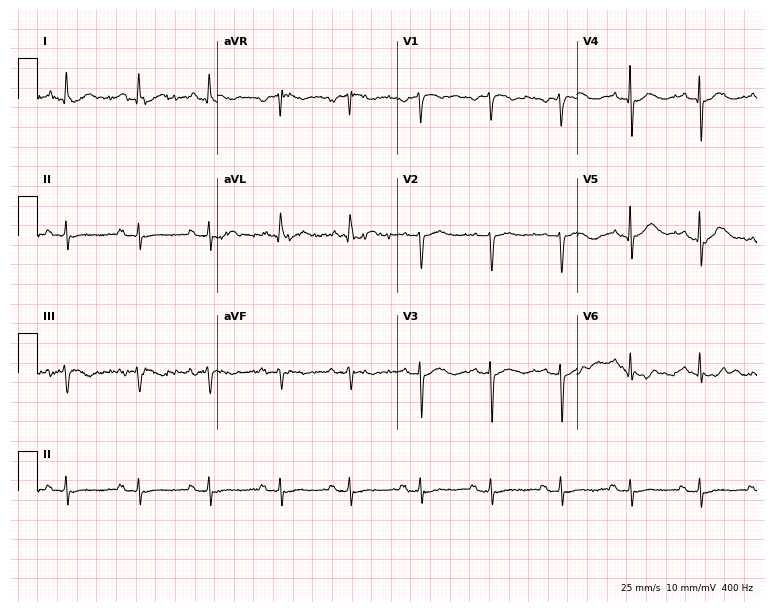
Electrocardiogram, a woman, 82 years old. Of the six screened findings (first-degree AV block, right bundle branch block, left bundle branch block, sinus bradycardia, atrial fibrillation, sinus tachycardia), none is recorded. Other findings, if any, are not listed.